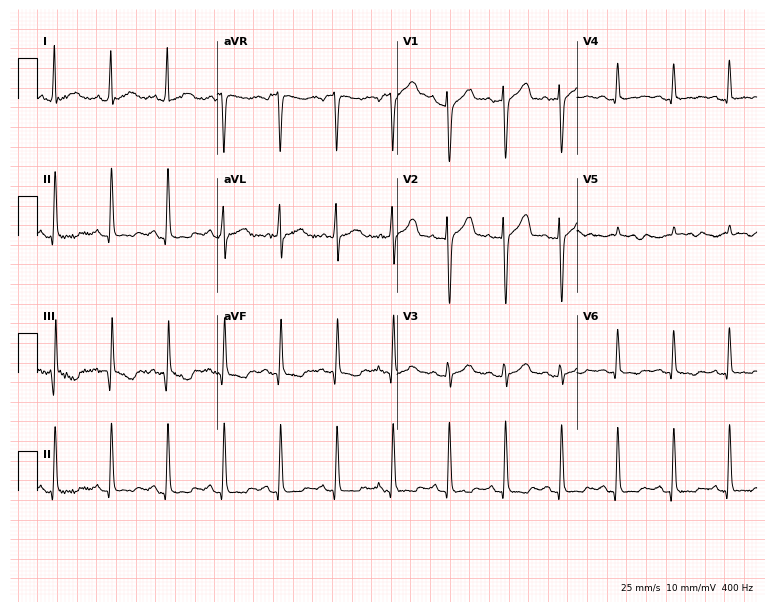
ECG (7.3-second recording at 400 Hz) — a 35-year-old male. Findings include sinus tachycardia (a sinus rate of 100 beats per minute or more).